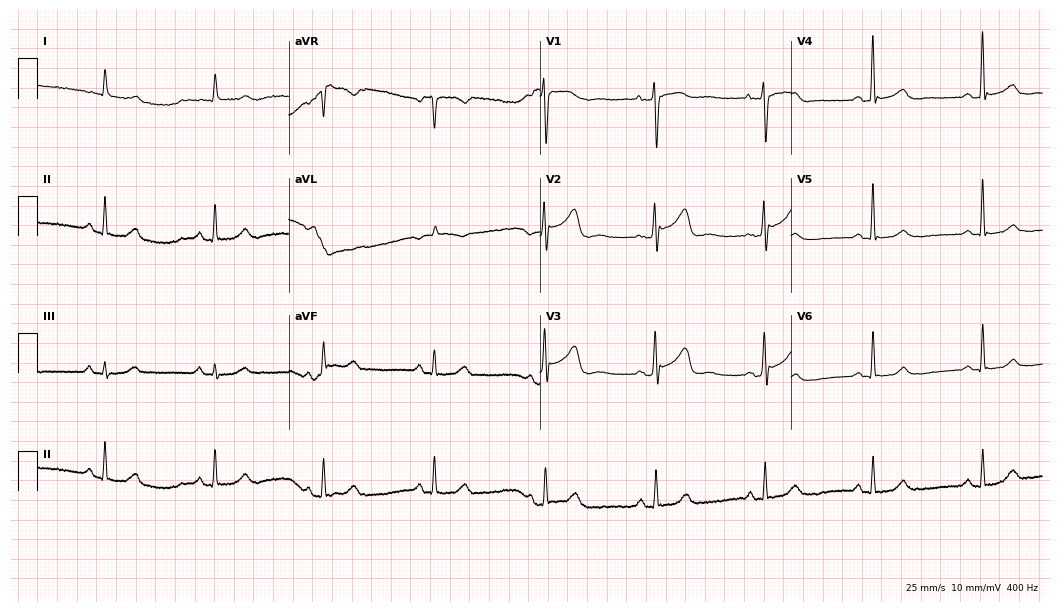
ECG (10.2-second recording at 400 Hz) — a 63-year-old woman. Labelled as a normal ECG.